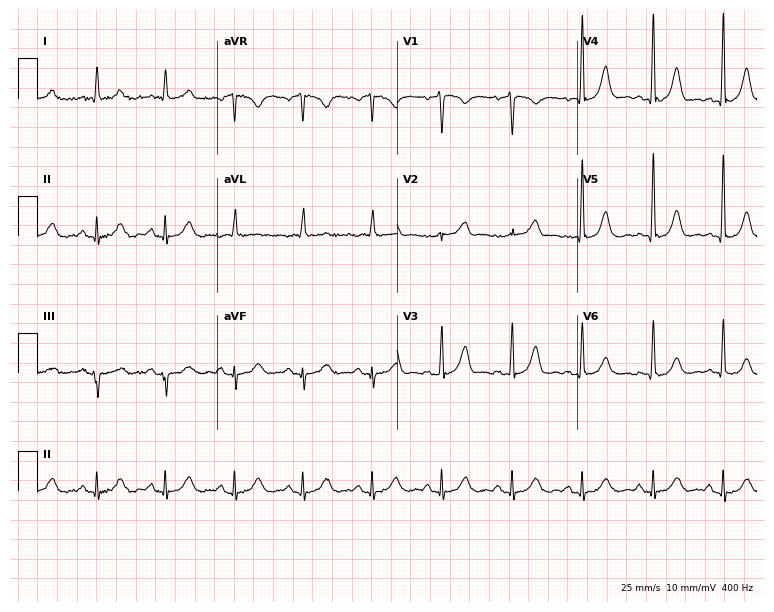
Electrocardiogram, a male, 68 years old. Overall reading on record: normal ECG.